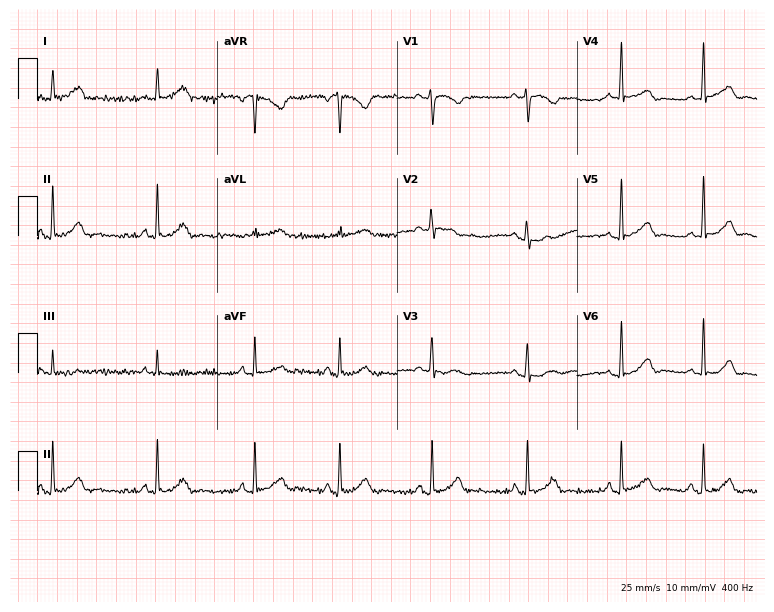
12-lead ECG from a 28-year-old woman. Screened for six findings — first-degree AV block, right bundle branch block, left bundle branch block, sinus bradycardia, atrial fibrillation, sinus tachycardia — none is recorded. Other findings, if any, are not listed.